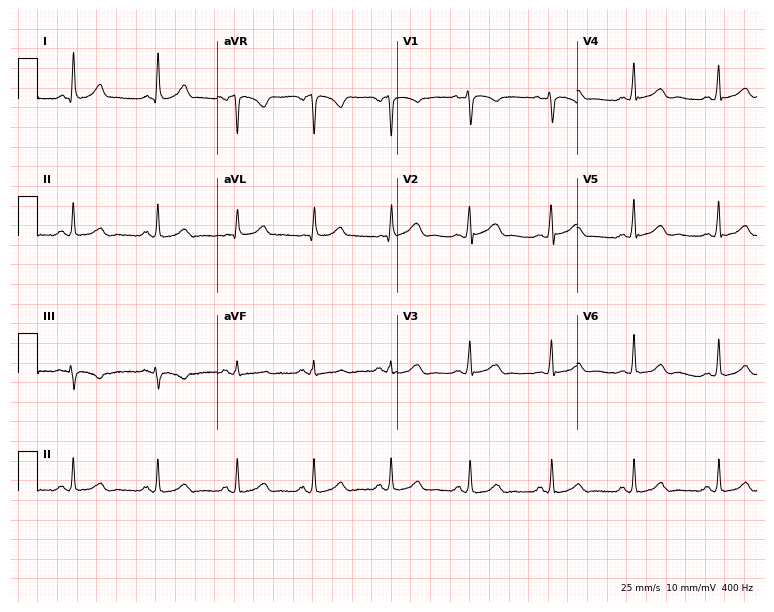
12-lead ECG (7.3-second recording at 400 Hz) from a 44-year-old male. Labelled as a normal ECG.